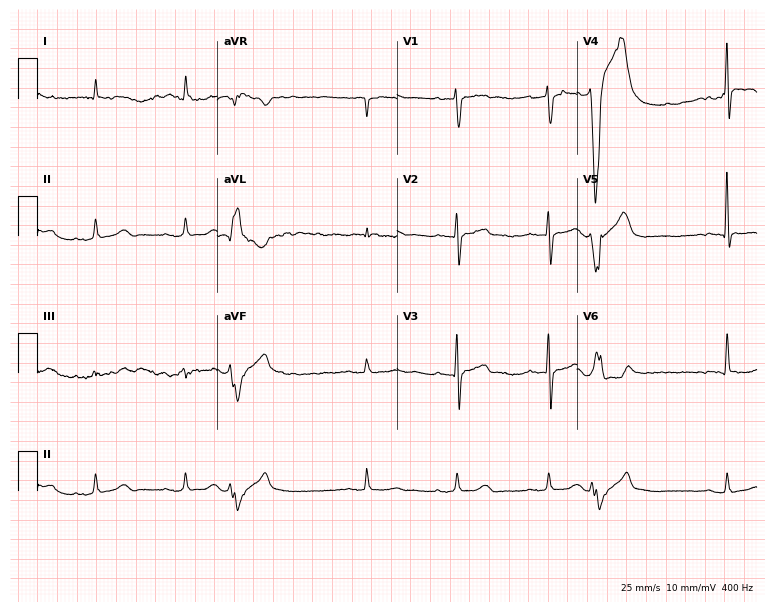
12-lead ECG from an 81-year-old man. No first-degree AV block, right bundle branch block (RBBB), left bundle branch block (LBBB), sinus bradycardia, atrial fibrillation (AF) or sinus tachycardia recorded for this tracing. Other findings, if any, are not listed.